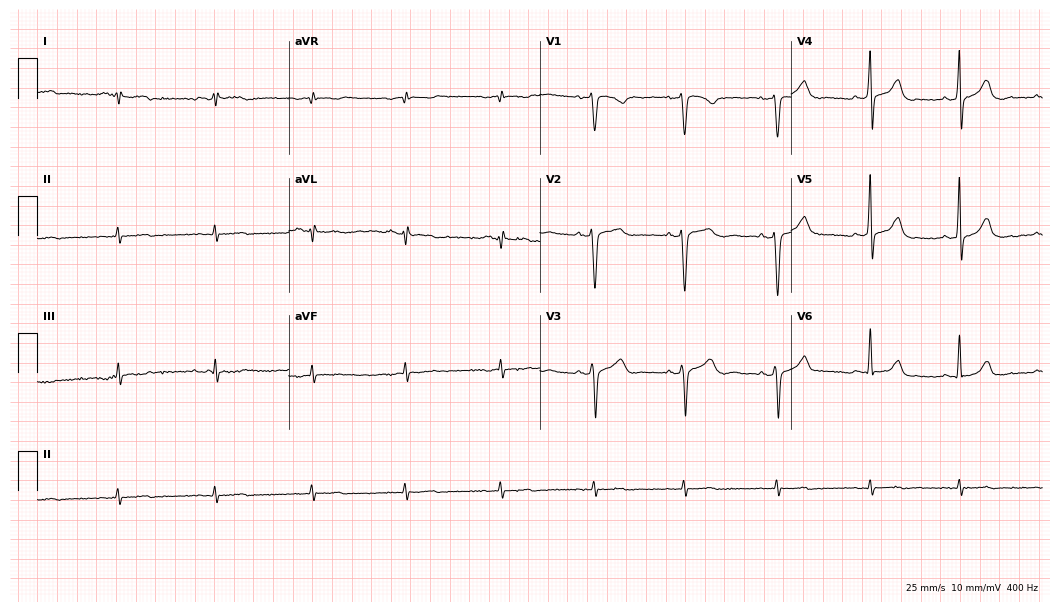
12-lead ECG from a female, 40 years old. No first-degree AV block, right bundle branch block, left bundle branch block, sinus bradycardia, atrial fibrillation or sinus tachycardia recorded for this tracing. Other findings, if any, are not listed.